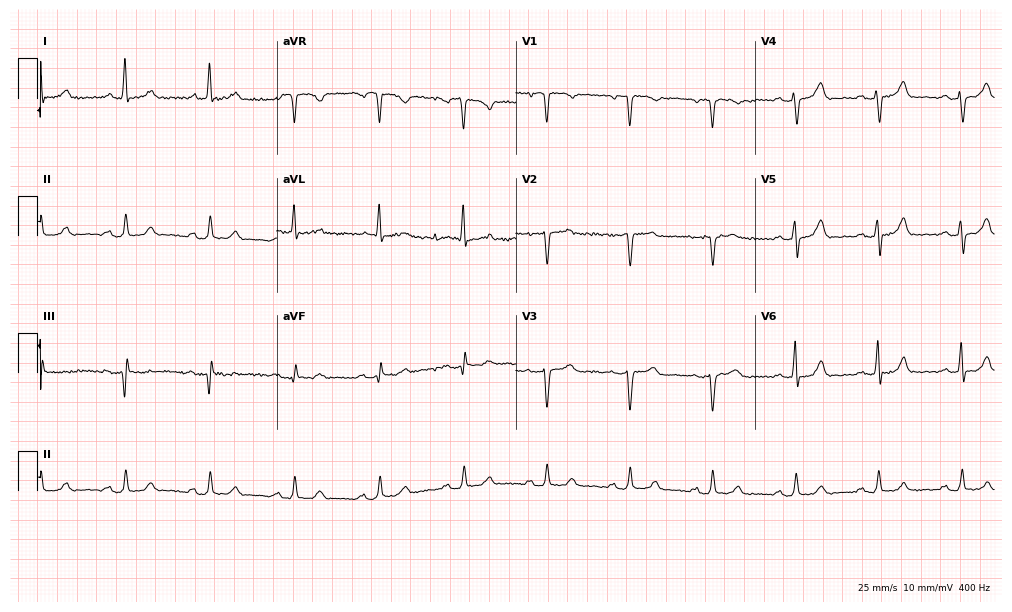
Resting 12-lead electrocardiogram (9.8-second recording at 400 Hz). Patient: a female, 68 years old. Read as a normal ECG.